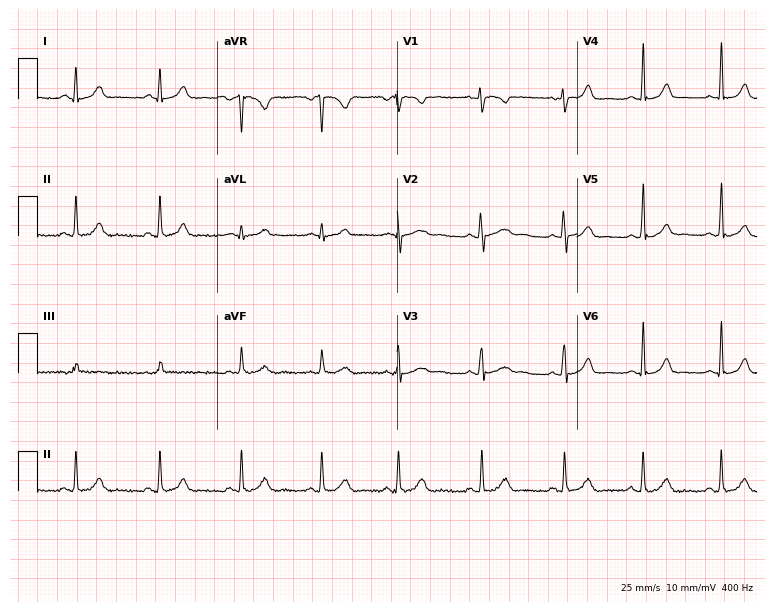
Standard 12-lead ECG recorded from a 19-year-old female patient (7.3-second recording at 400 Hz). Read as a normal ECG.